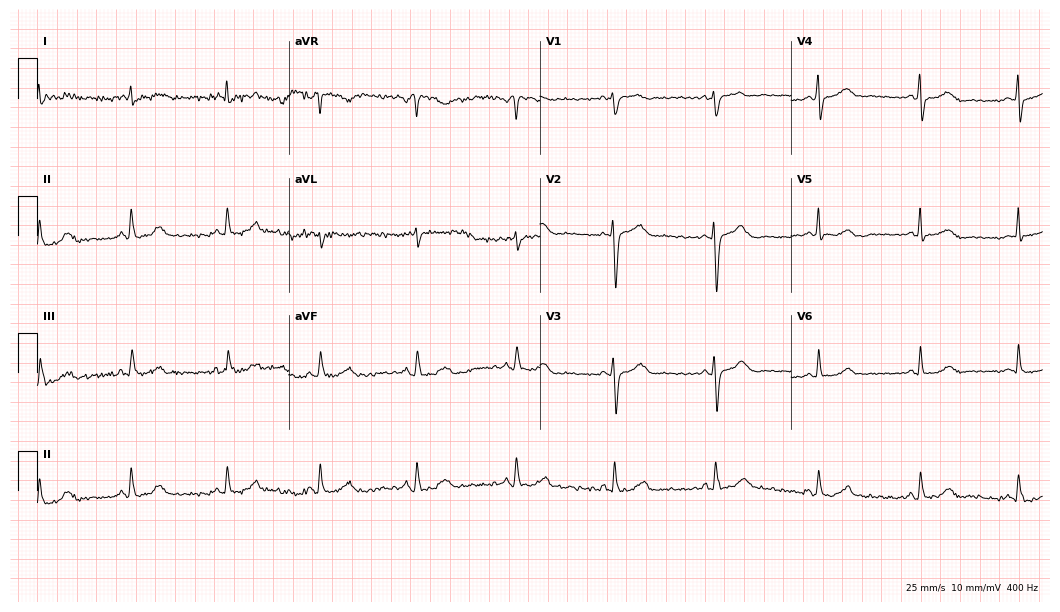
12-lead ECG from a male patient, 49 years old (10.2-second recording at 400 Hz). No first-degree AV block, right bundle branch block, left bundle branch block, sinus bradycardia, atrial fibrillation or sinus tachycardia recorded for this tracing.